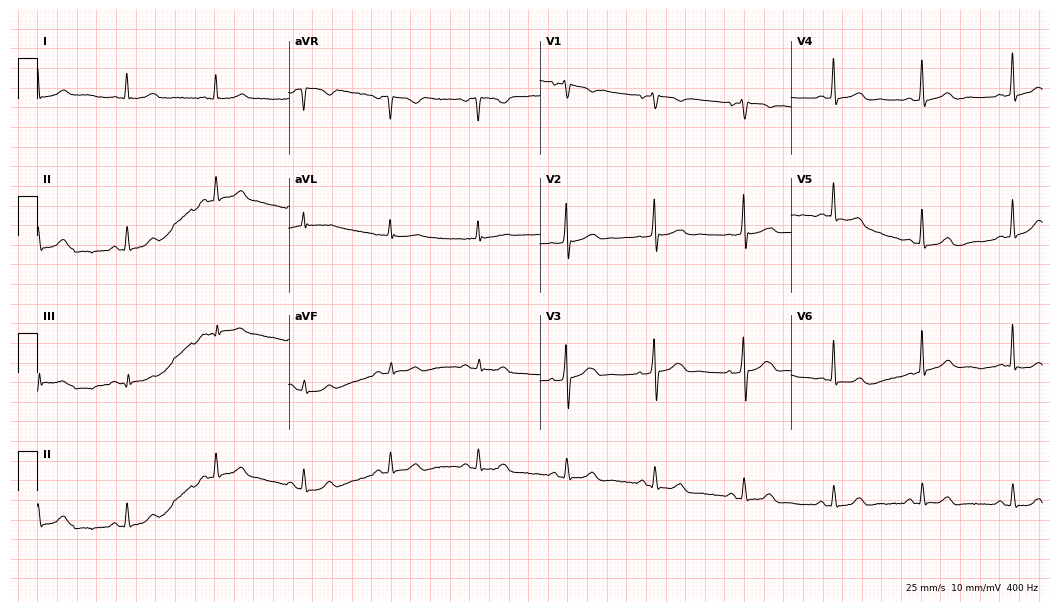
Resting 12-lead electrocardiogram (10.2-second recording at 400 Hz). Patient: a 59-year-old man. Read as a normal ECG.